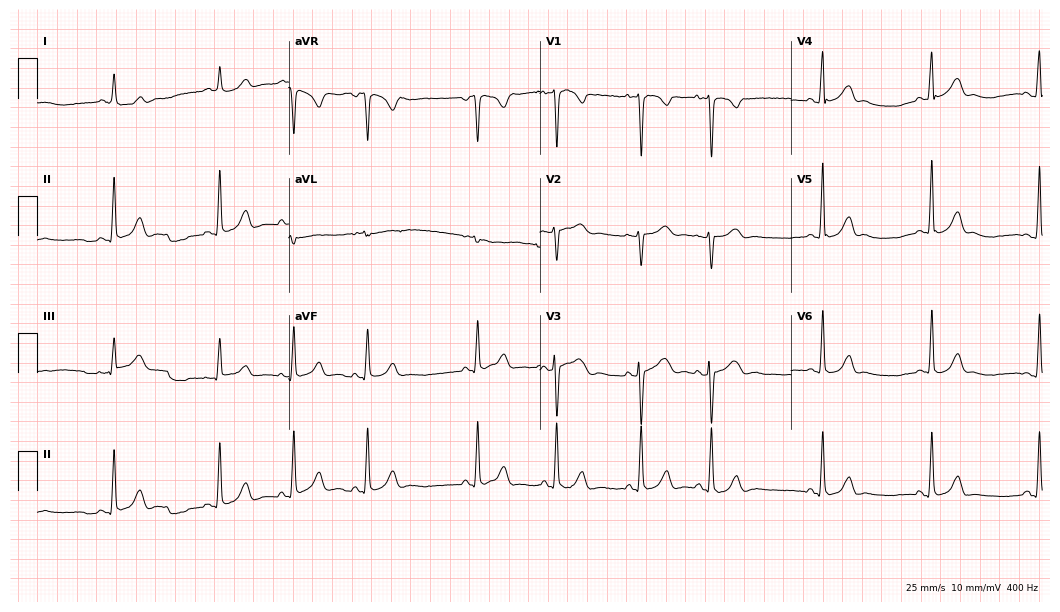
12-lead ECG from an 18-year-old woman. Recorded interpretation: within normal limits.